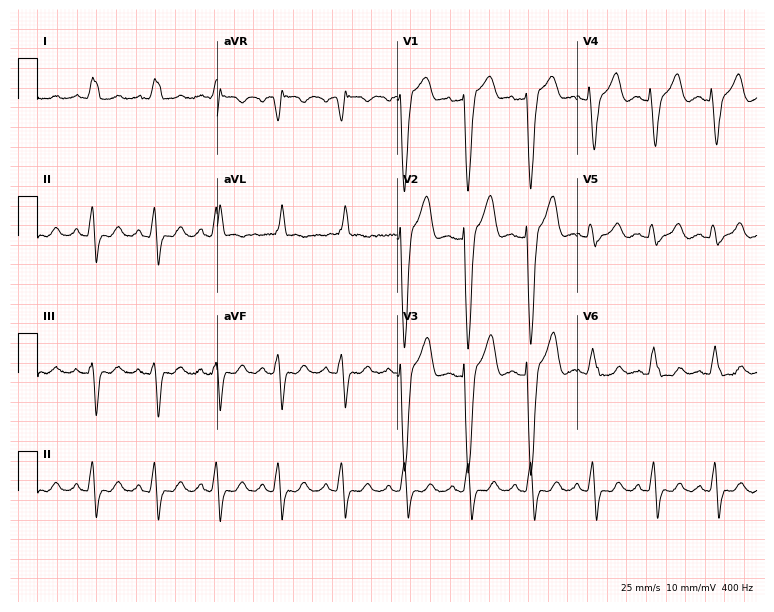
Electrocardiogram, a 51-year-old female patient. Interpretation includes left bundle branch block.